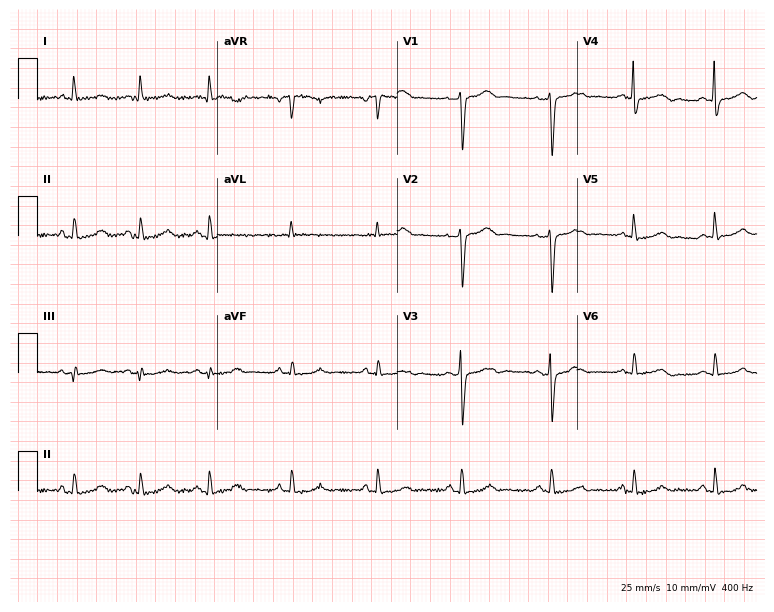
Standard 12-lead ECG recorded from a male patient, 43 years old (7.3-second recording at 400 Hz). Read as a normal ECG.